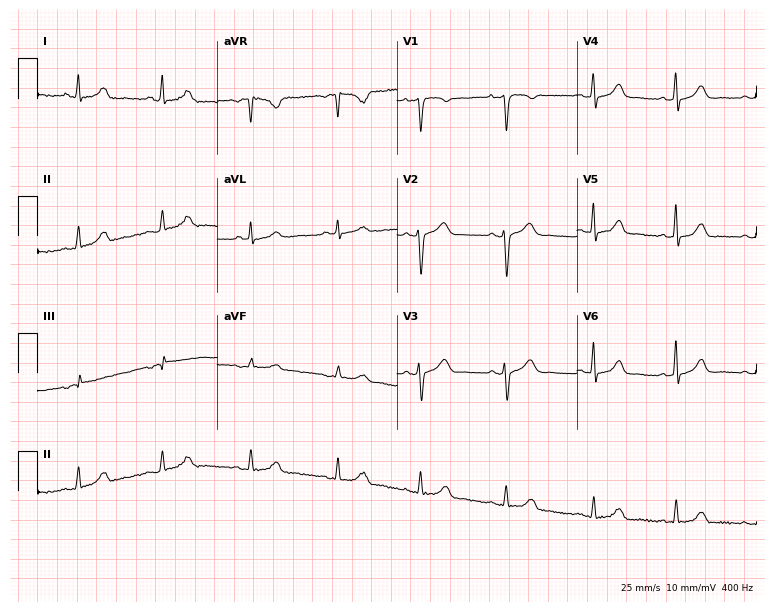
Electrocardiogram (7.3-second recording at 400 Hz), a 49-year-old female patient. Of the six screened findings (first-degree AV block, right bundle branch block (RBBB), left bundle branch block (LBBB), sinus bradycardia, atrial fibrillation (AF), sinus tachycardia), none is recorded. Findings outside these six are not listed.